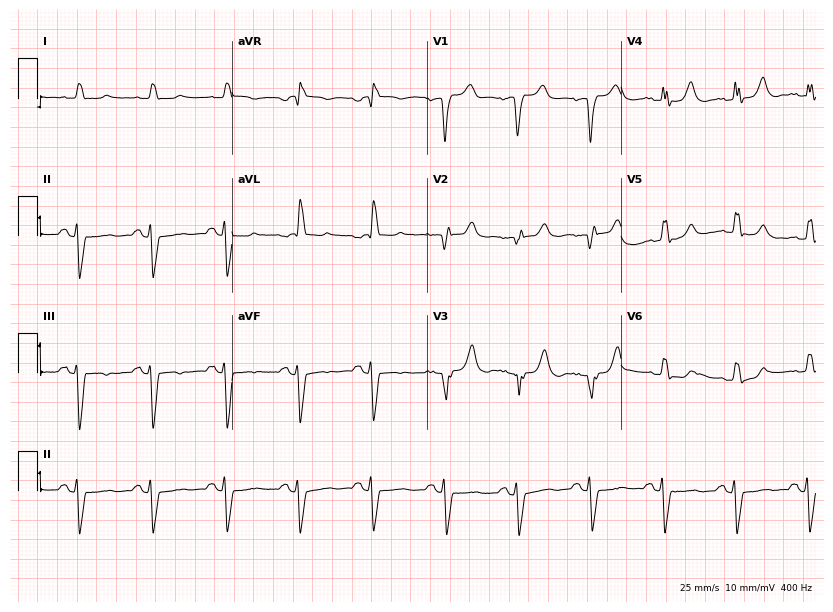
ECG (7.9-second recording at 400 Hz) — a male patient, 79 years old. Screened for six findings — first-degree AV block, right bundle branch block, left bundle branch block, sinus bradycardia, atrial fibrillation, sinus tachycardia — none is recorded. Other findings, if any, are not listed.